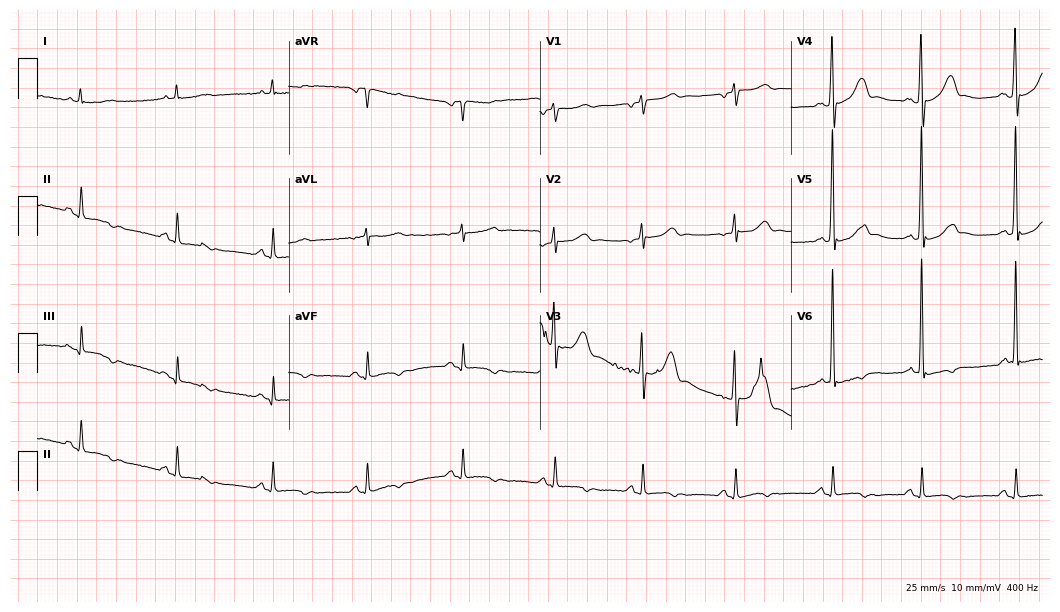
Resting 12-lead electrocardiogram (10.2-second recording at 400 Hz). Patient: a 68-year-old male. None of these six findings is recorded: first-degree AV block, right bundle branch block (RBBB), left bundle branch block (LBBB), sinus bradycardia, atrial fibrillation (AF), sinus tachycardia.